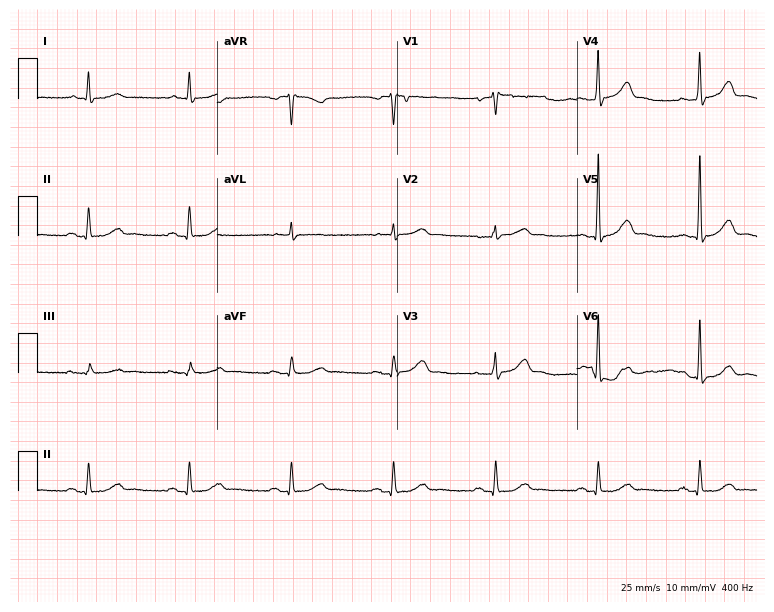
12-lead ECG (7.3-second recording at 400 Hz) from a 56-year-old male. Labelled as a normal ECG.